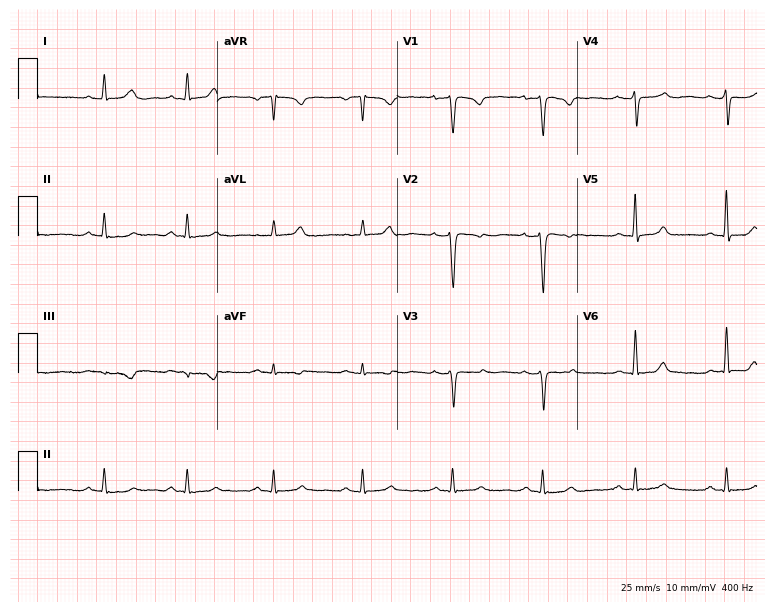
Standard 12-lead ECG recorded from a female, 51 years old (7.3-second recording at 400 Hz). None of these six findings is recorded: first-degree AV block, right bundle branch block, left bundle branch block, sinus bradycardia, atrial fibrillation, sinus tachycardia.